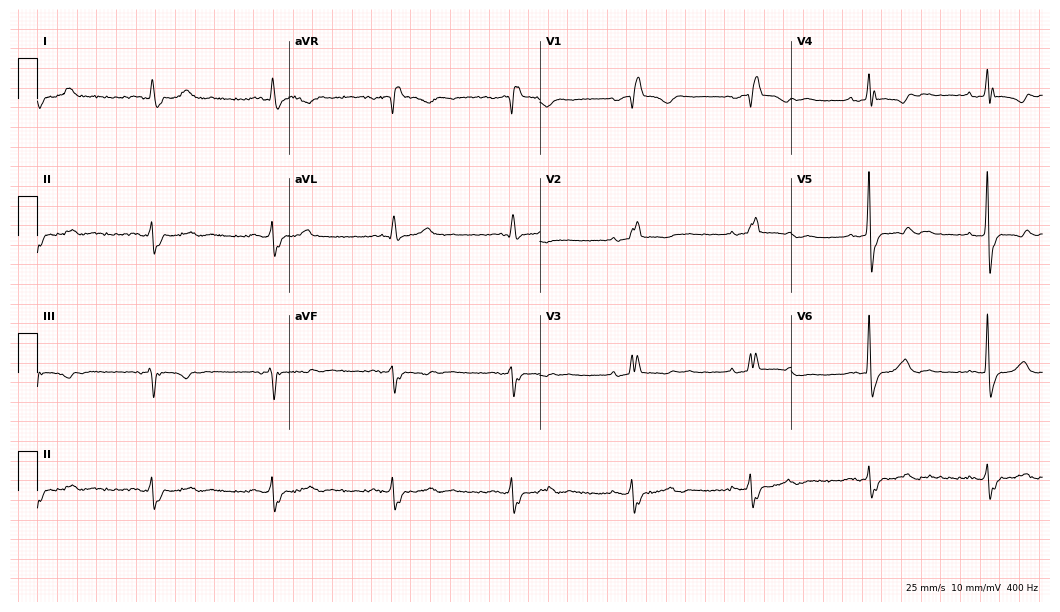
Resting 12-lead electrocardiogram (10.2-second recording at 400 Hz). Patient: a 63-year-old female. The tracing shows right bundle branch block.